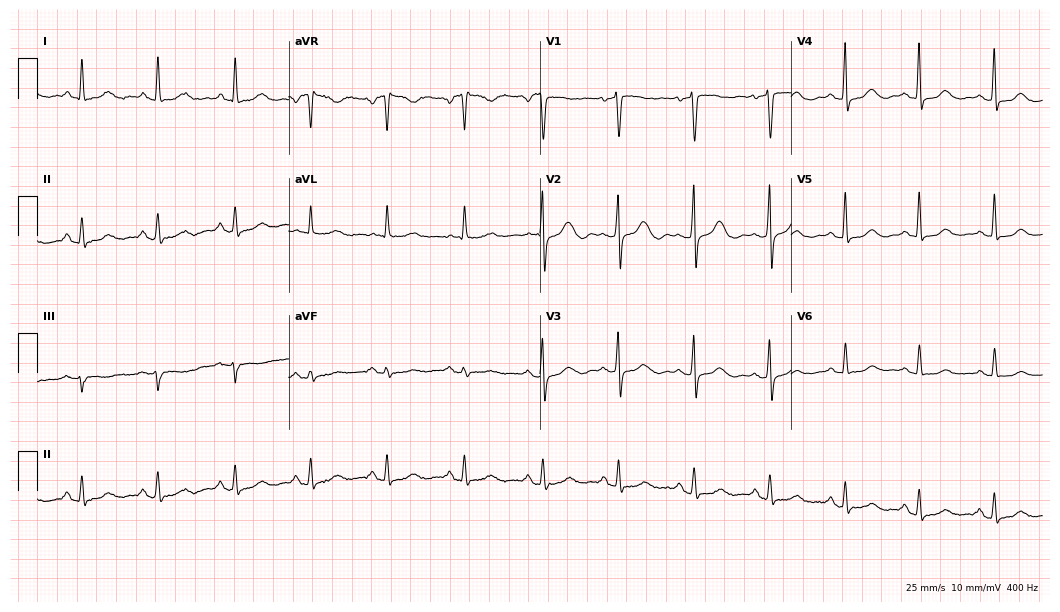
Standard 12-lead ECG recorded from a female patient, 74 years old (10.2-second recording at 400 Hz). None of these six findings is recorded: first-degree AV block, right bundle branch block (RBBB), left bundle branch block (LBBB), sinus bradycardia, atrial fibrillation (AF), sinus tachycardia.